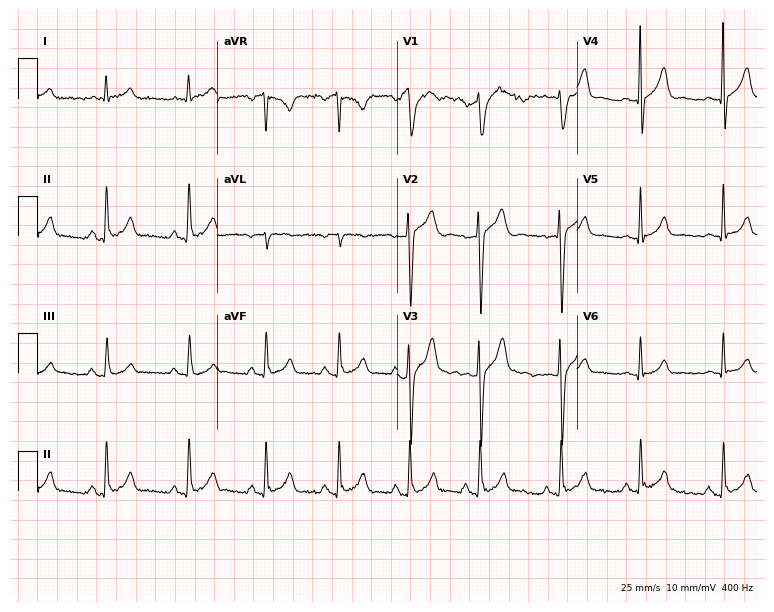
12-lead ECG (7.3-second recording at 400 Hz) from a man, 25 years old. Labelled as a normal ECG.